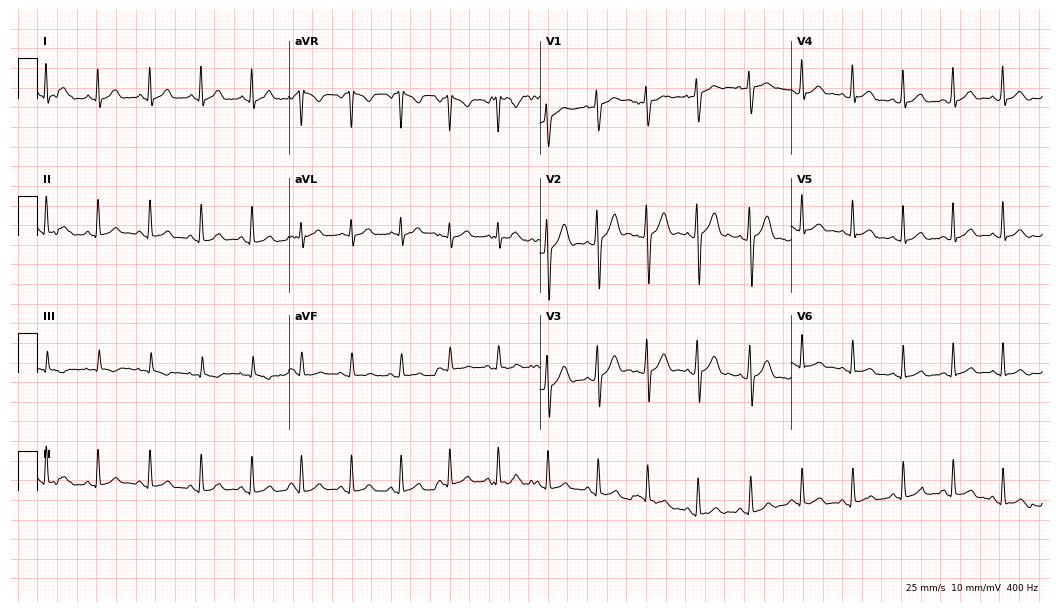
Standard 12-lead ECG recorded from a 20-year-old male. None of these six findings is recorded: first-degree AV block, right bundle branch block, left bundle branch block, sinus bradycardia, atrial fibrillation, sinus tachycardia. Findings outside these six are not listed.